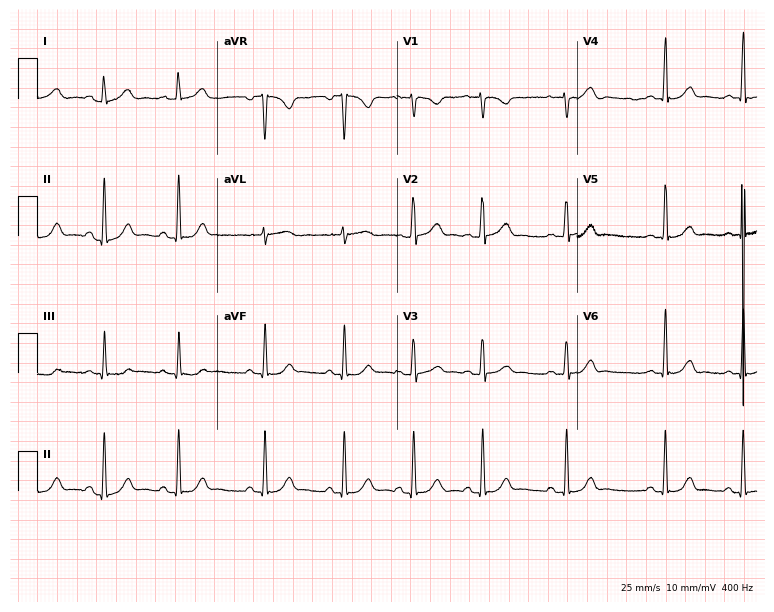
ECG (7.3-second recording at 400 Hz) — a woman, 18 years old. Screened for six findings — first-degree AV block, right bundle branch block, left bundle branch block, sinus bradycardia, atrial fibrillation, sinus tachycardia — none is recorded. Other findings, if any, are not listed.